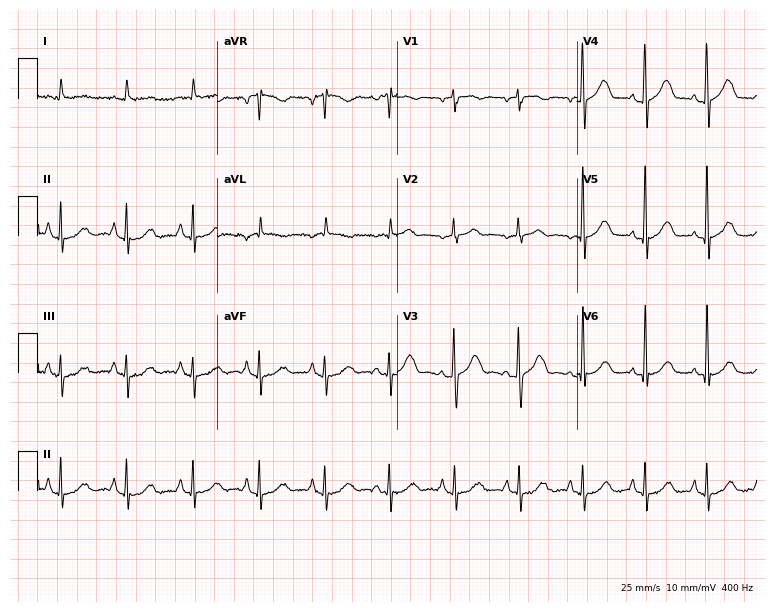
ECG — a female patient, 83 years old. Screened for six findings — first-degree AV block, right bundle branch block, left bundle branch block, sinus bradycardia, atrial fibrillation, sinus tachycardia — none is recorded.